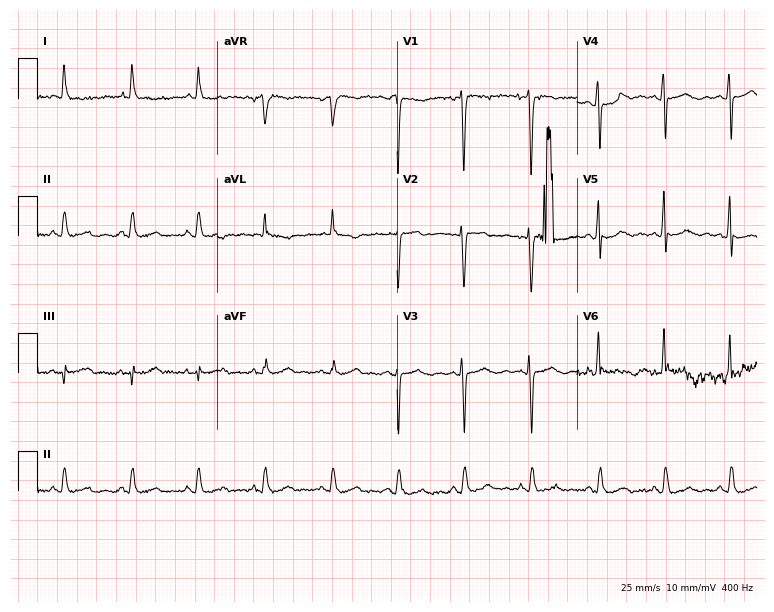
Standard 12-lead ECG recorded from a 43-year-old female (7.3-second recording at 400 Hz). None of these six findings is recorded: first-degree AV block, right bundle branch block, left bundle branch block, sinus bradycardia, atrial fibrillation, sinus tachycardia.